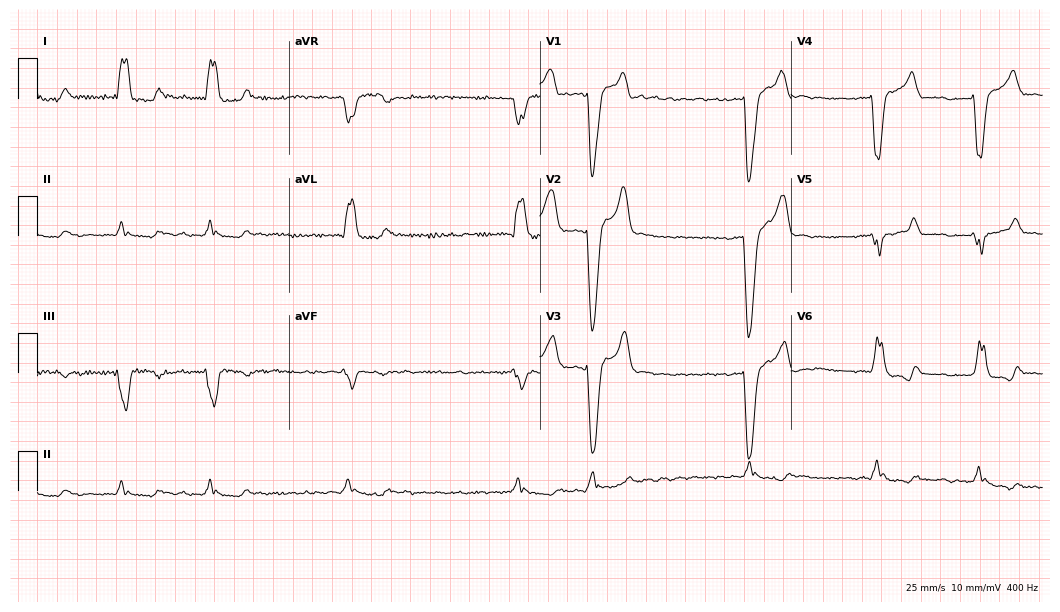
12-lead ECG from a male patient, 60 years old (10.2-second recording at 400 Hz). Shows left bundle branch block, atrial fibrillation.